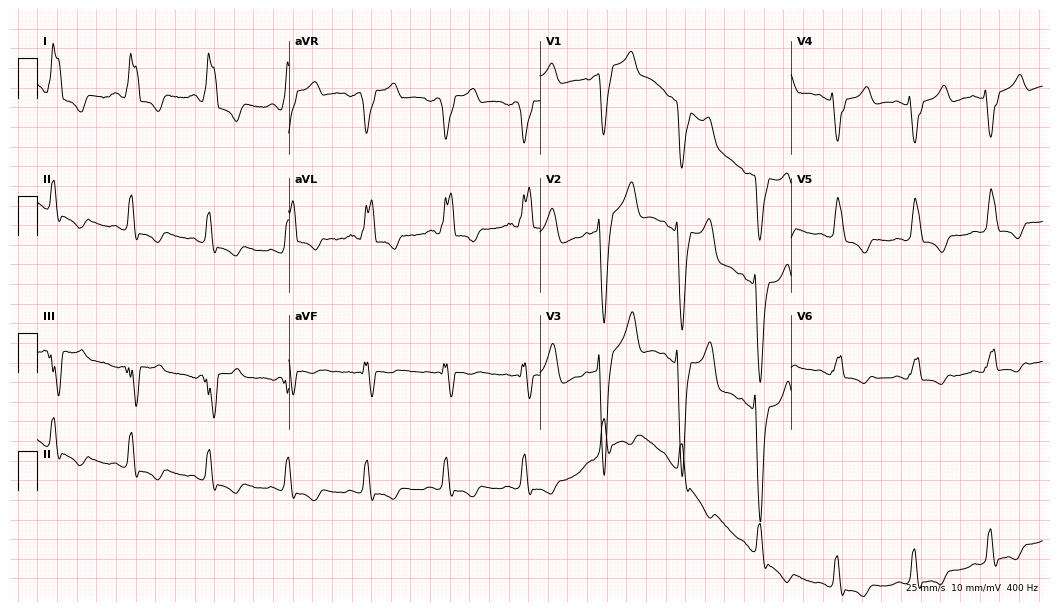
Standard 12-lead ECG recorded from a 69-year-old woman. The tracing shows left bundle branch block.